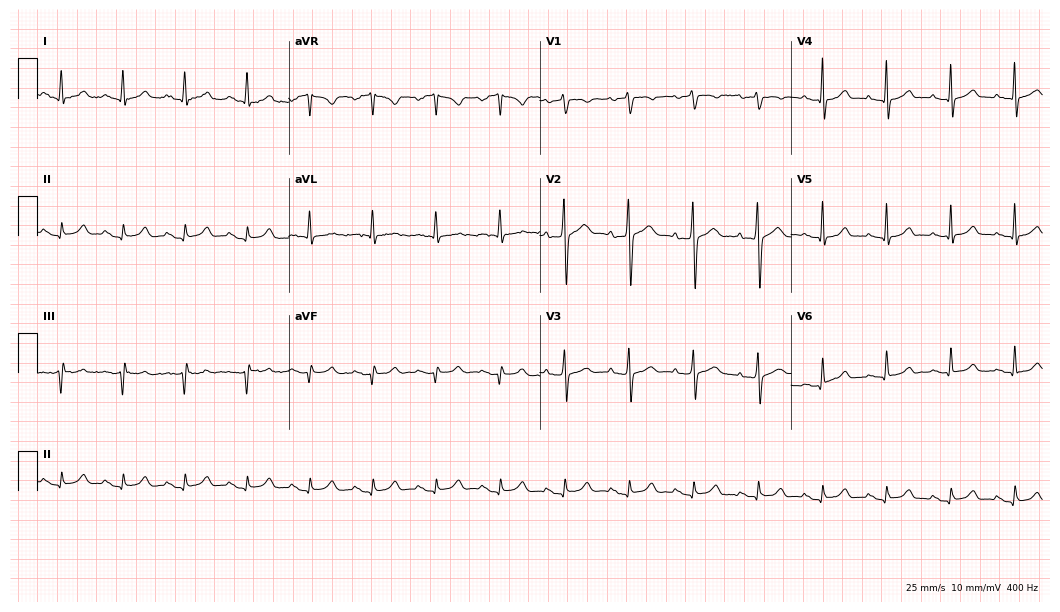
Resting 12-lead electrocardiogram (10.2-second recording at 400 Hz). Patient: a woman, 44 years old. None of these six findings is recorded: first-degree AV block, right bundle branch block, left bundle branch block, sinus bradycardia, atrial fibrillation, sinus tachycardia. Findings outside these six are not listed.